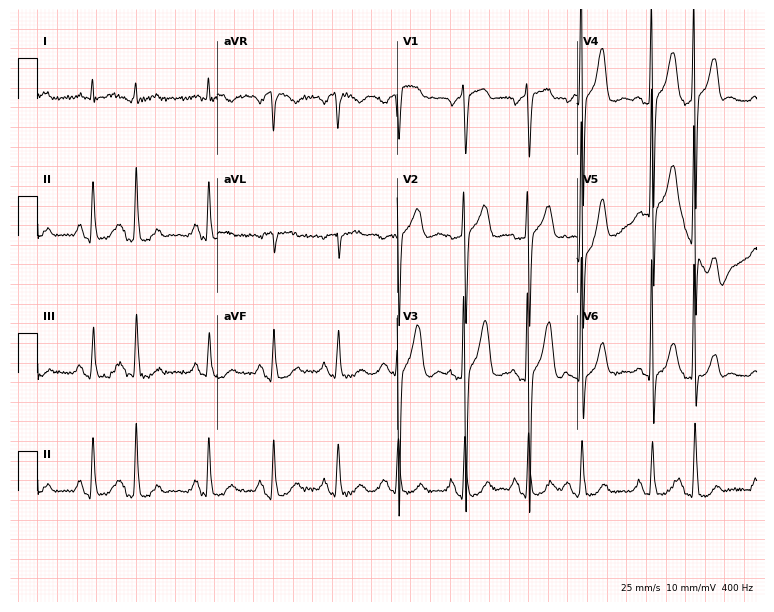
12-lead ECG (7.3-second recording at 400 Hz) from a man, 85 years old. Screened for six findings — first-degree AV block, right bundle branch block, left bundle branch block, sinus bradycardia, atrial fibrillation, sinus tachycardia — none is recorded. Findings outside these six are not listed.